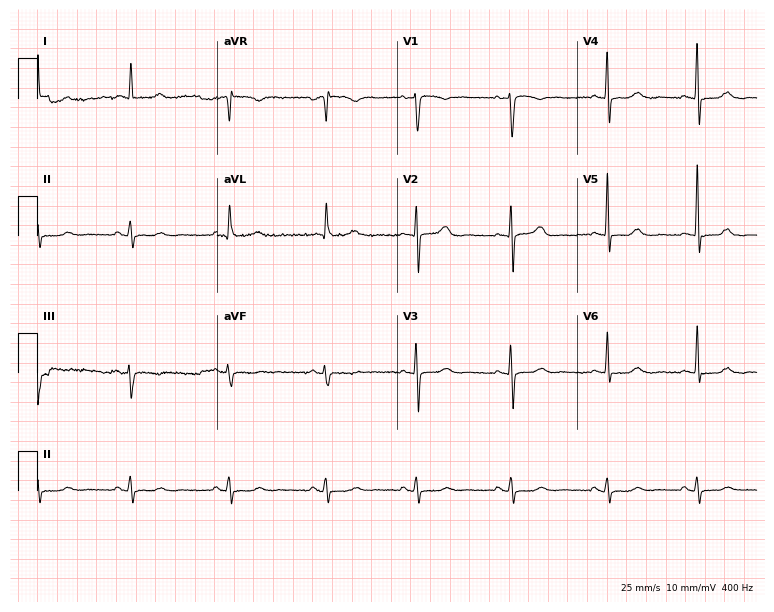
12-lead ECG from a female, 80 years old. No first-degree AV block, right bundle branch block, left bundle branch block, sinus bradycardia, atrial fibrillation or sinus tachycardia recorded for this tracing. Only these six findings were labelled.